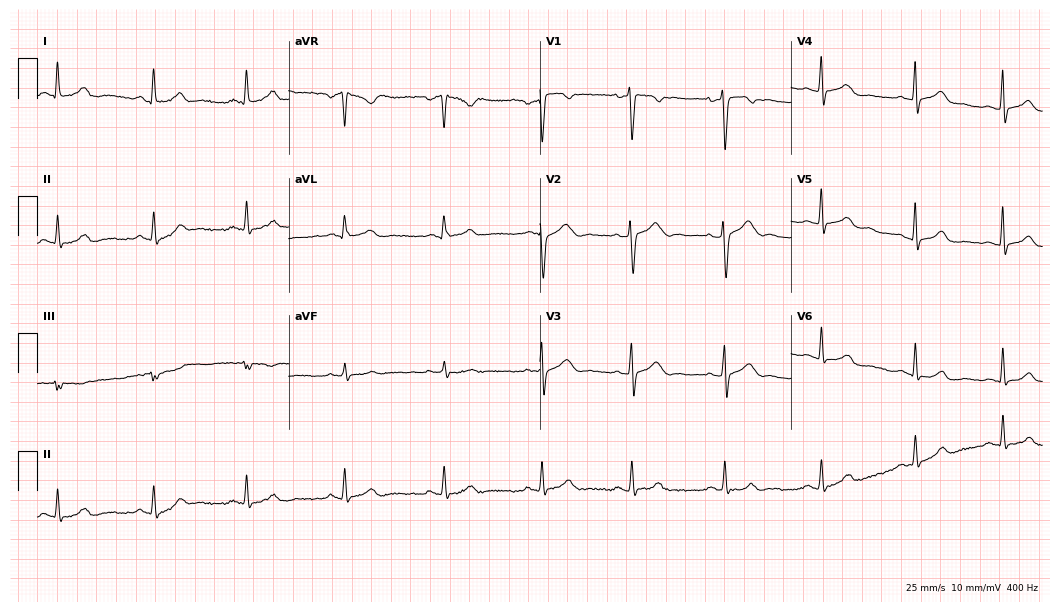
Resting 12-lead electrocardiogram (10.2-second recording at 400 Hz). Patient: a female, 19 years old. None of these six findings is recorded: first-degree AV block, right bundle branch block, left bundle branch block, sinus bradycardia, atrial fibrillation, sinus tachycardia. Findings outside these six are not listed.